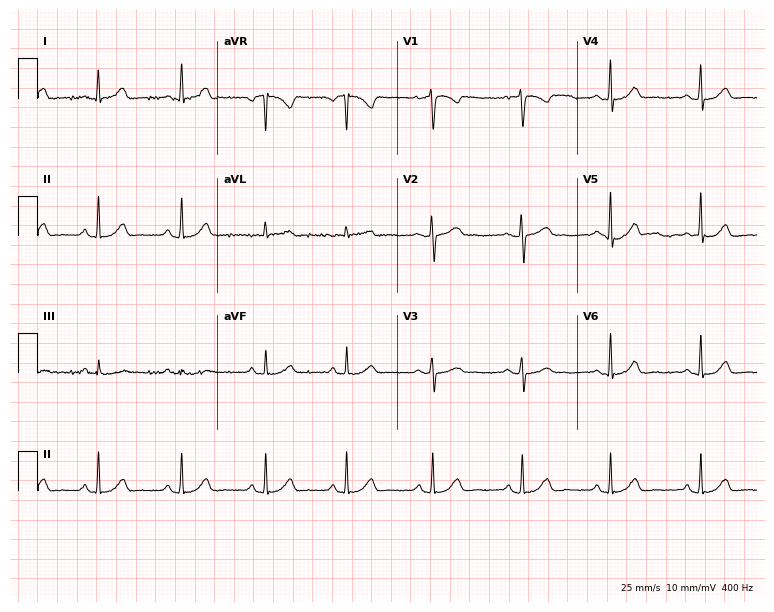
Resting 12-lead electrocardiogram. Patient: a 50-year-old woman. Read as a normal ECG.